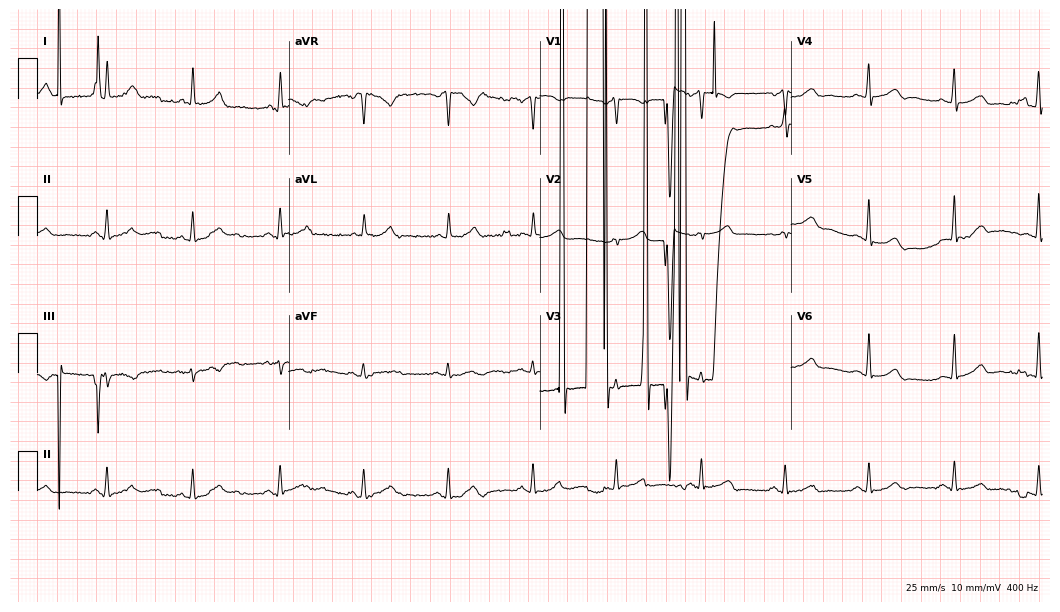
Standard 12-lead ECG recorded from a woman, 43 years old. None of these six findings is recorded: first-degree AV block, right bundle branch block (RBBB), left bundle branch block (LBBB), sinus bradycardia, atrial fibrillation (AF), sinus tachycardia. Only these six findings were labelled.